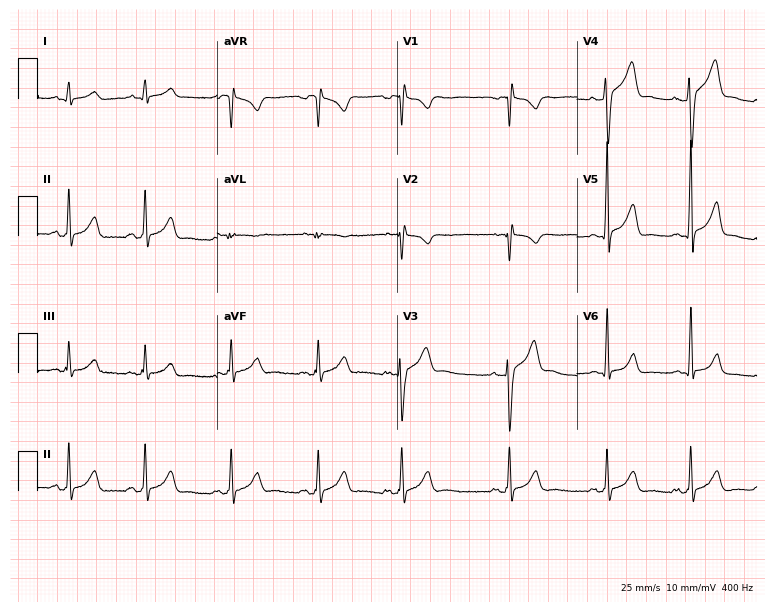
Standard 12-lead ECG recorded from a male patient, 21 years old (7.3-second recording at 400 Hz). None of these six findings is recorded: first-degree AV block, right bundle branch block, left bundle branch block, sinus bradycardia, atrial fibrillation, sinus tachycardia. Other findings, if any, are not listed.